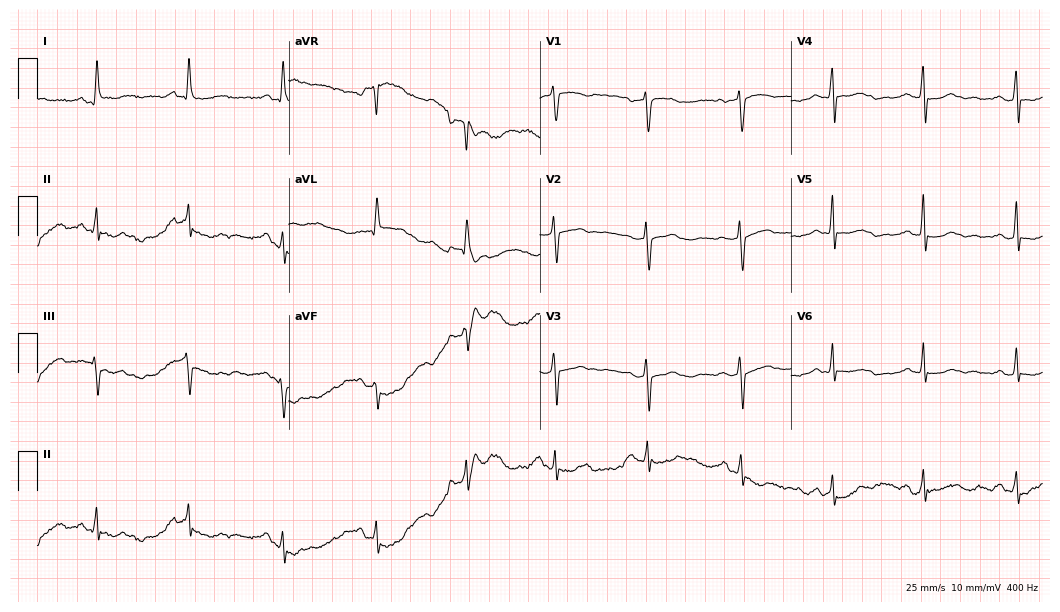
12-lead ECG (10.2-second recording at 400 Hz) from a female, 58 years old. Screened for six findings — first-degree AV block, right bundle branch block, left bundle branch block, sinus bradycardia, atrial fibrillation, sinus tachycardia — none is recorded.